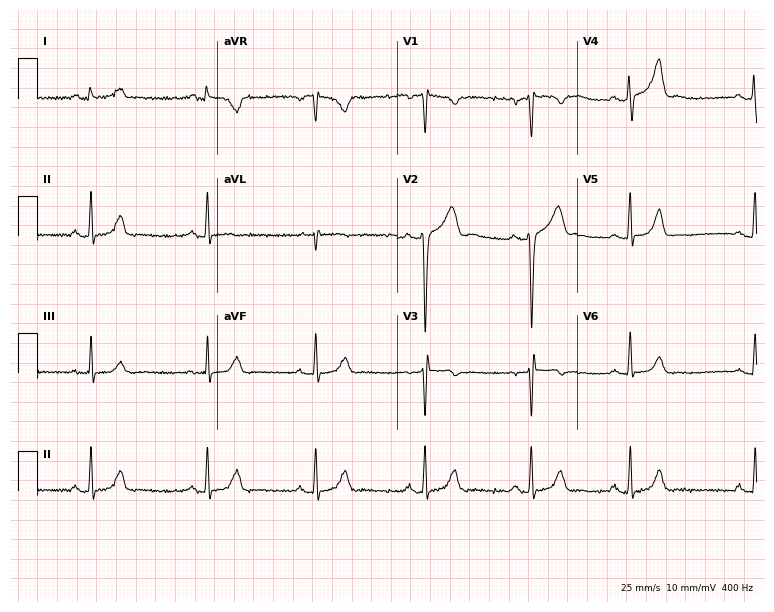
Electrocardiogram, a 35-year-old man. Overall reading on record: normal ECG.